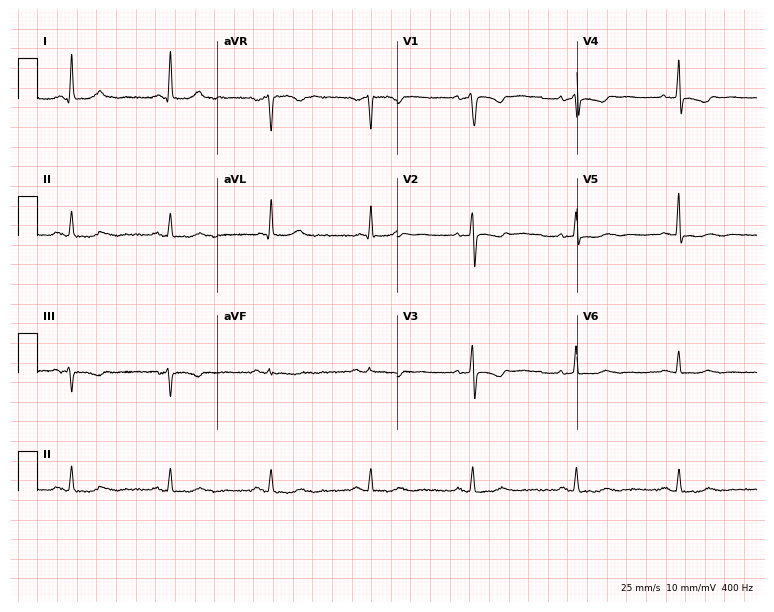
Electrocardiogram, a 67-year-old woman. Of the six screened findings (first-degree AV block, right bundle branch block (RBBB), left bundle branch block (LBBB), sinus bradycardia, atrial fibrillation (AF), sinus tachycardia), none is recorded. Findings outside these six are not listed.